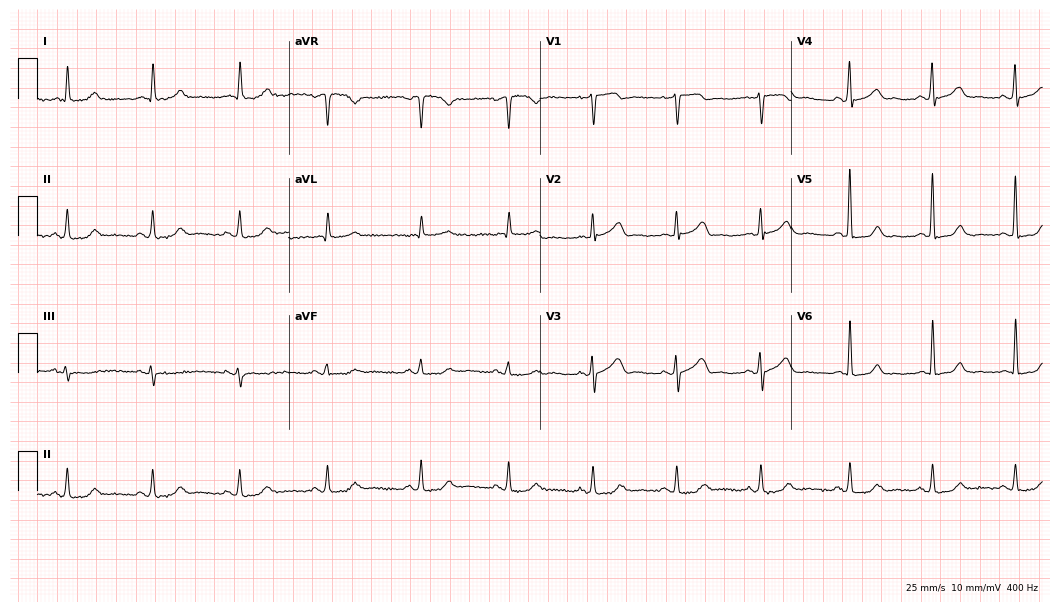
12-lead ECG from a female, 79 years old. Labelled as a normal ECG.